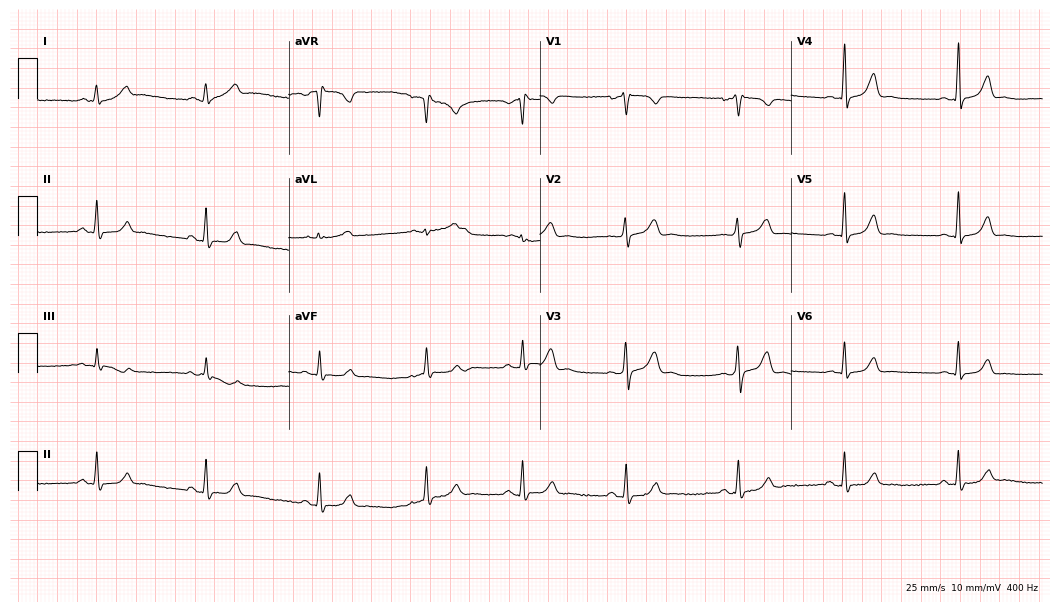
Electrocardiogram (10.2-second recording at 400 Hz), a 37-year-old male. Of the six screened findings (first-degree AV block, right bundle branch block, left bundle branch block, sinus bradycardia, atrial fibrillation, sinus tachycardia), none is recorded. Findings outside these six are not listed.